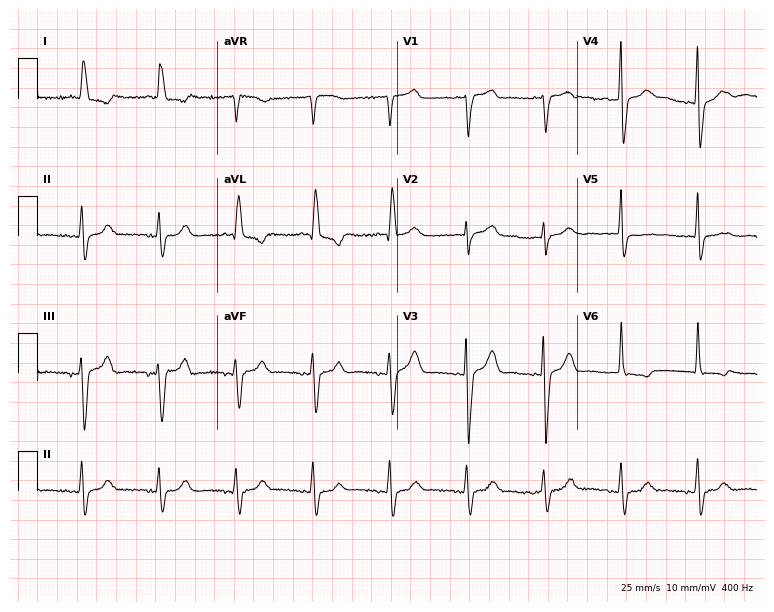
12-lead ECG from a woman, 82 years old. Screened for six findings — first-degree AV block, right bundle branch block, left bundle branch block, sinus bradycardia, atrial fibrillation, sinus tachycardia — none is recorded.